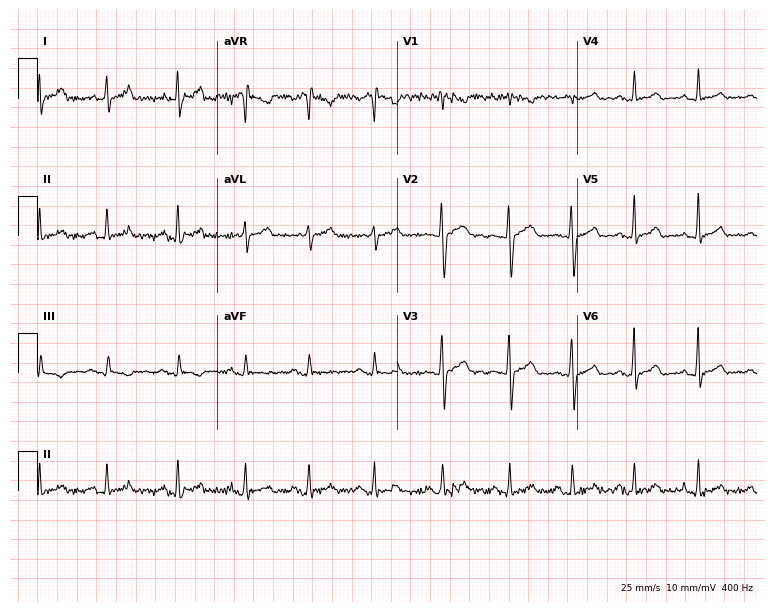
12-lead ECG from a woman, 21 years old (7.3-second recording at 400 Hz). Recorded interpretation: within normal limits.